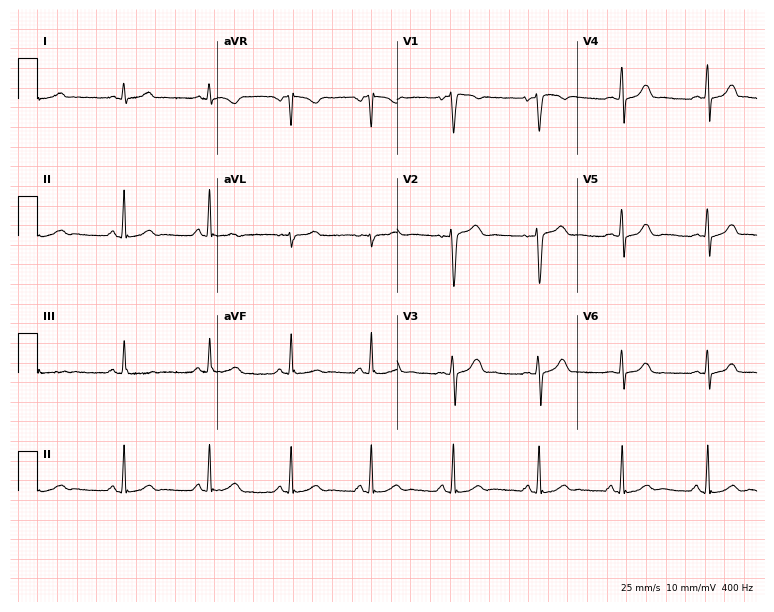
Electrocardiogram, a female patient, 19 years old. Overall reading on record: normal ECG.